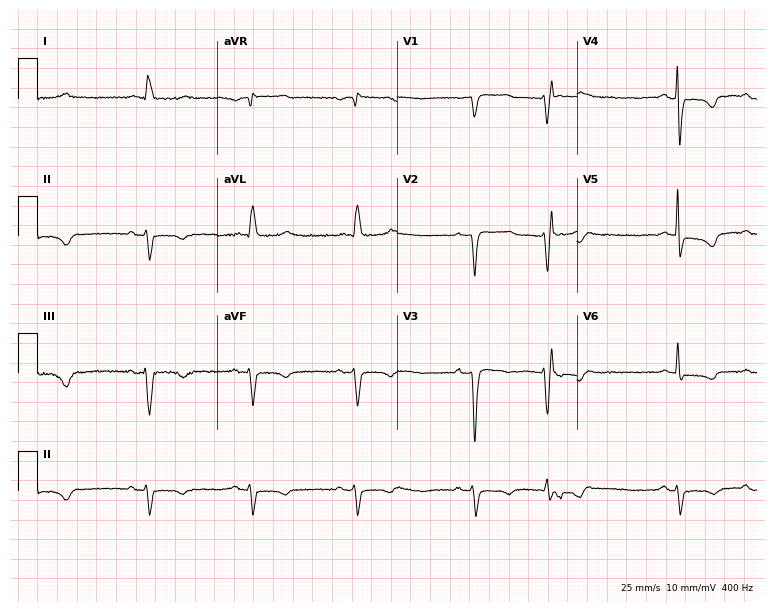
Electrocardiogram (7.3-second recording at 400 Hz), a 76-year-old female. Of the six screened findings (first-degree AV block, right bundle branch block, left bundle branch block, sinus bradycardia, atrial fibrillation, sinus tachycardia), none is recorded.